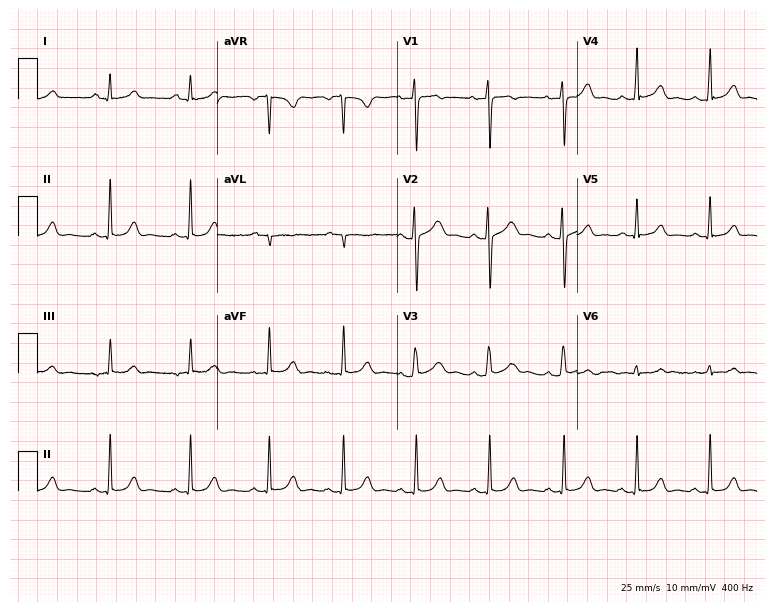
Standard 12-lead ECG recorded from a woman, 23 years old (7.3-second recording at 400 Hz). None of these six findings is recorded: first-degree AV block, right bundle branch block, left bundle branch block, sinus bradycardia, atrial fibrillation, sinus tachycardia. Findings outside these six are not listed.